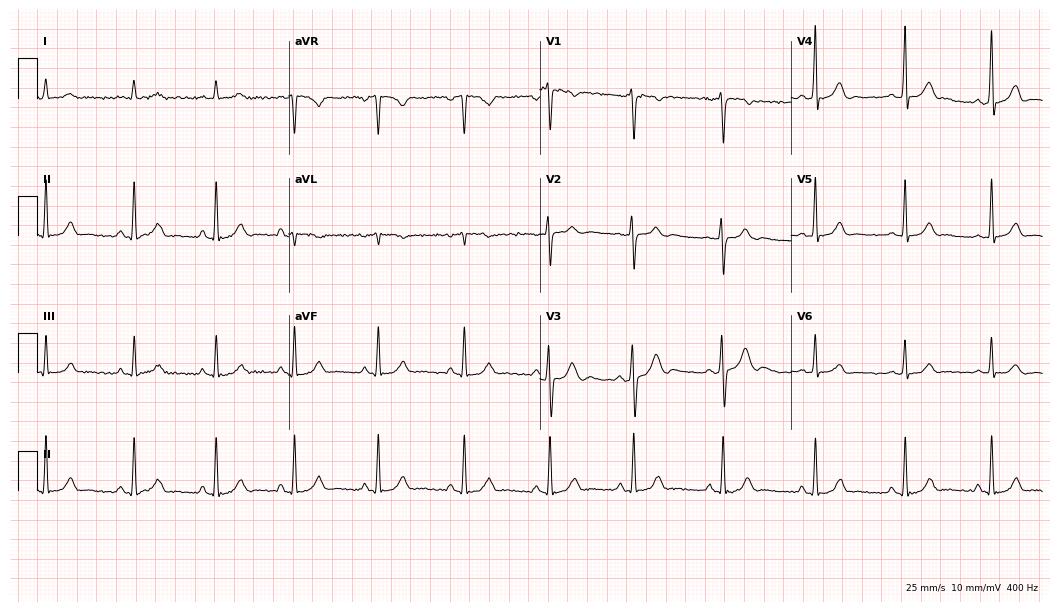
12-lead ECG from a 23-year-old man. Labelled as a normal ECG.